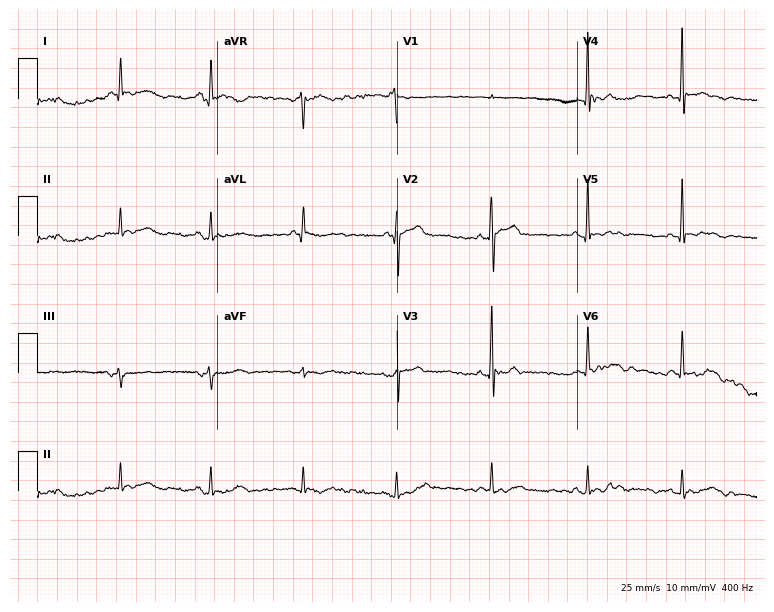
12-lead ECG from a male, 74 years old. No first-degree AV block, right bundle branch block (RBBB), left bundle branch block (LBBB), sinus bradycardia, atrial fibrillation (AF) or sinus tachycardia recorded for this tracing. Other findings, if any, are not listed.